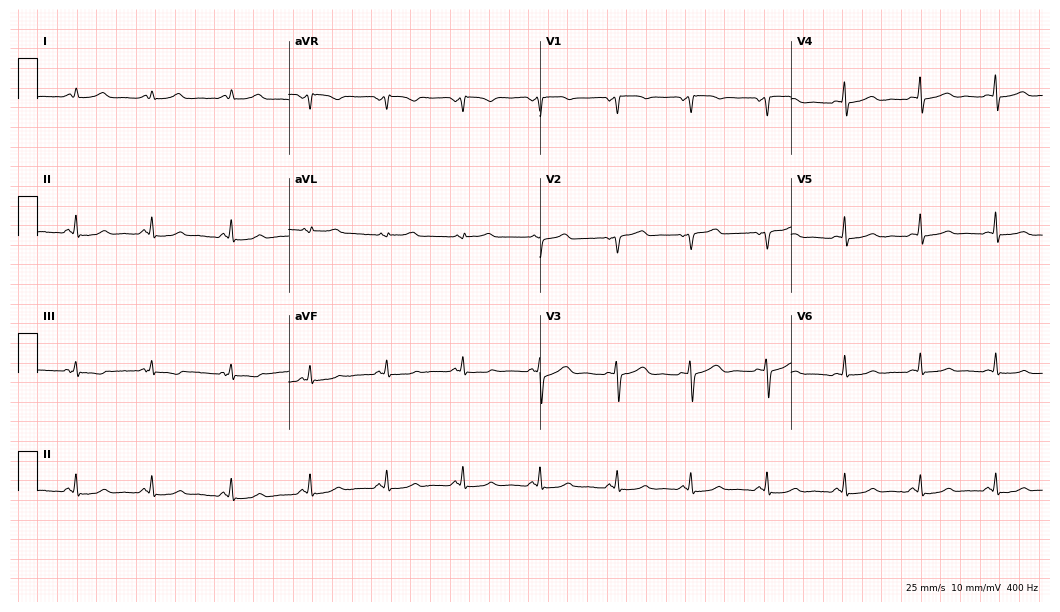
12-lead ECG from a female, 42 years old (10.2-second recording at 400 Hz). No first-degree AV block, right bundle branch block (RBBB), left bundle branch block (LBBB), sinus bradycardia, atrial fibrillation (AF) or sinus tachycardia recorded for this tracing. Findings outside these six are not listed.